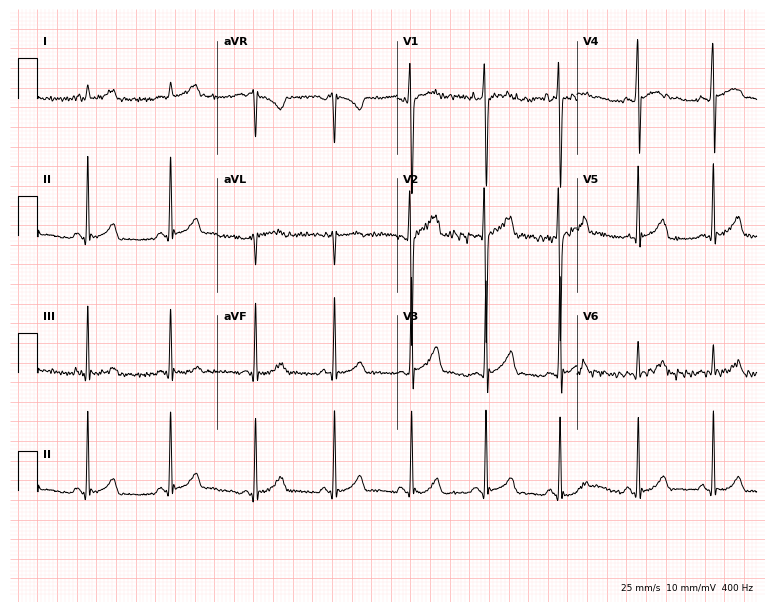
ECG — an 18-year-old man. Labelled as a normal ECG.